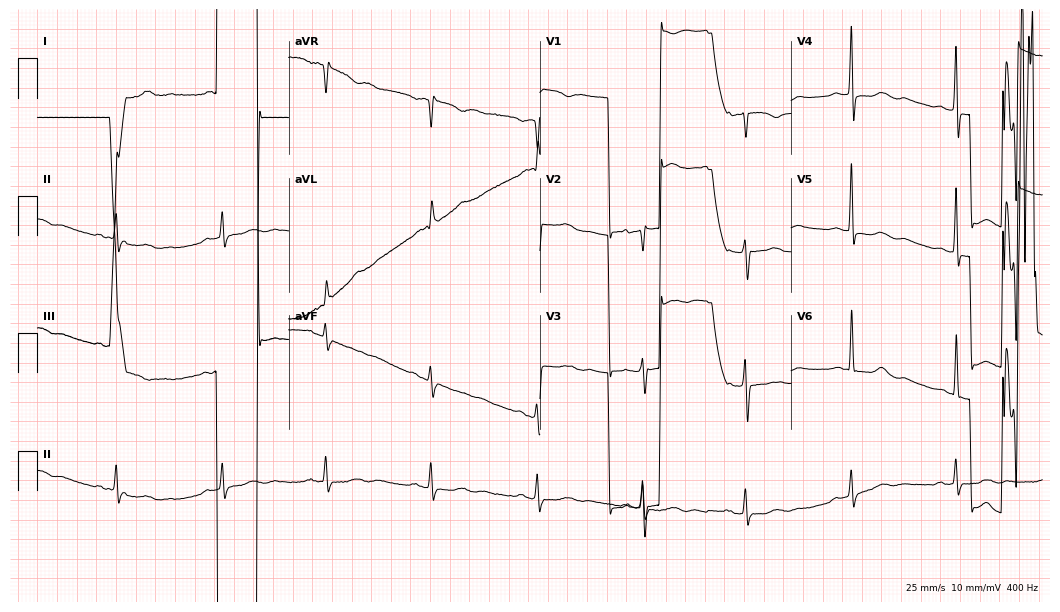
Standard 12-lead ECG recorded from a female patient, 84 years old. None of these six findings is recorded: first-degree AV block, right bundle branch block (RBBB), left bundle branch block (LBBB), sinus bradycardia, atrial fibrillation (AF), sinus tachycardia. Only these six findings were labelled.